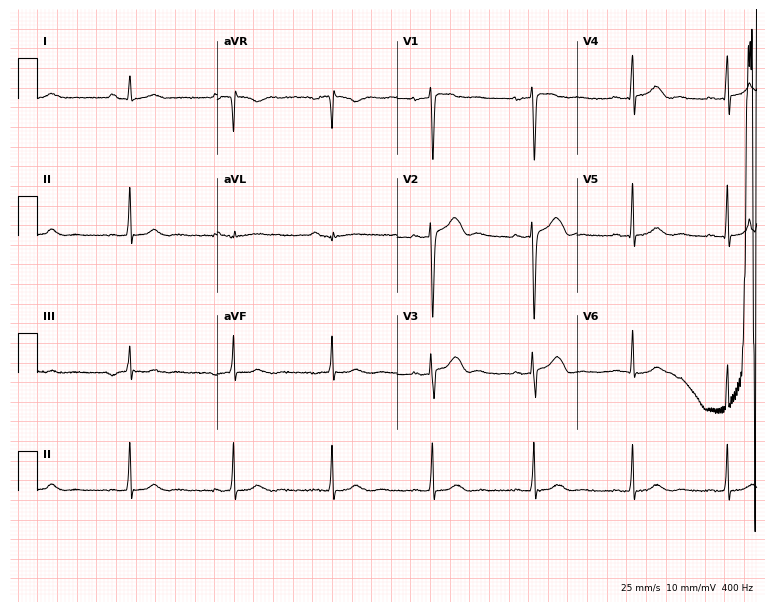
Electrocardiogram (7.3-second recording at 400 Hz), a woman, 38 years old. Overall reading on record: normal ECG.